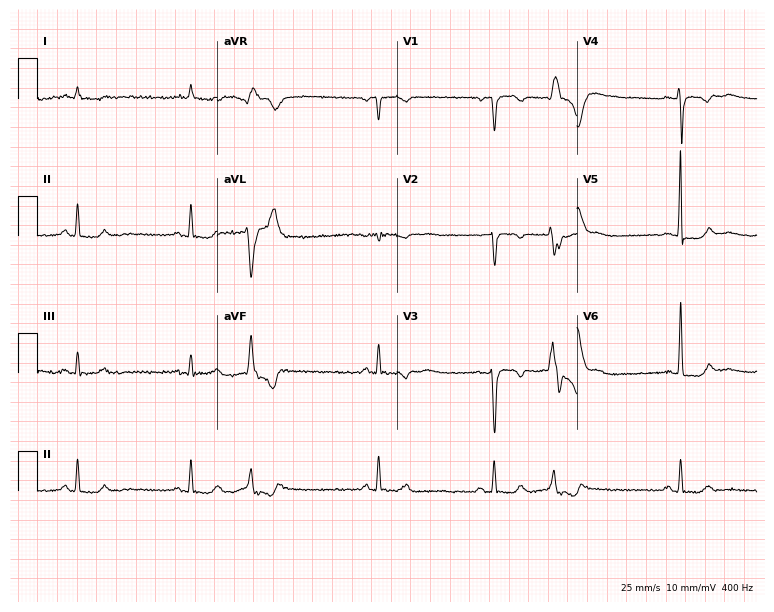
12-lead ECG from a woman, 39 years old. Screened for six findings — first-degree AV block, right bundle branch block, left bundle branch block, sinus bradycardia, atrial fibrillation, sinus tachycardia — none is recorded. Findings outside these six are not listed.